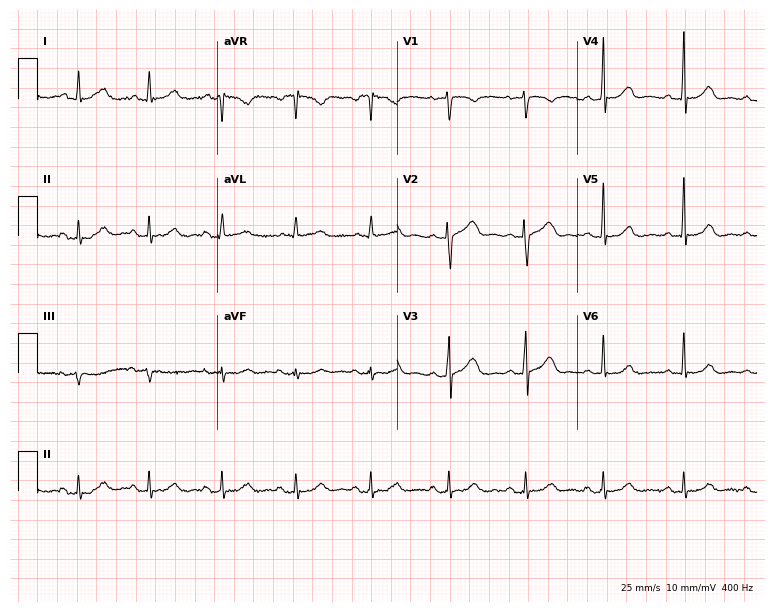
Electrocardiogram (7.3-second recording at 400 Hz), a woman, 50 years old. Overall reading on record: normal ECG.